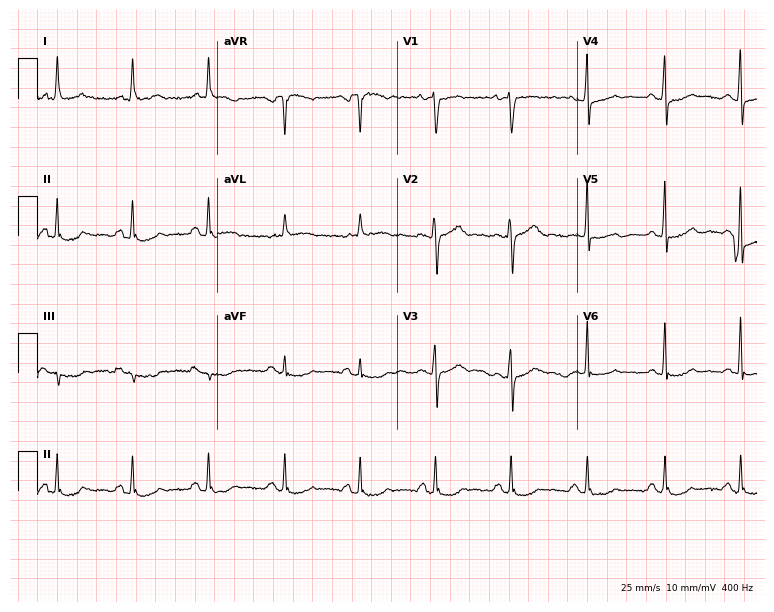
ECG — a 63-year-old female. Screened for six findings — first-degree AV block, right bundle branch block, left bundle branch block, sinus bradycardia, atrial fibrillation, sinus tachycardia — none is recorded.